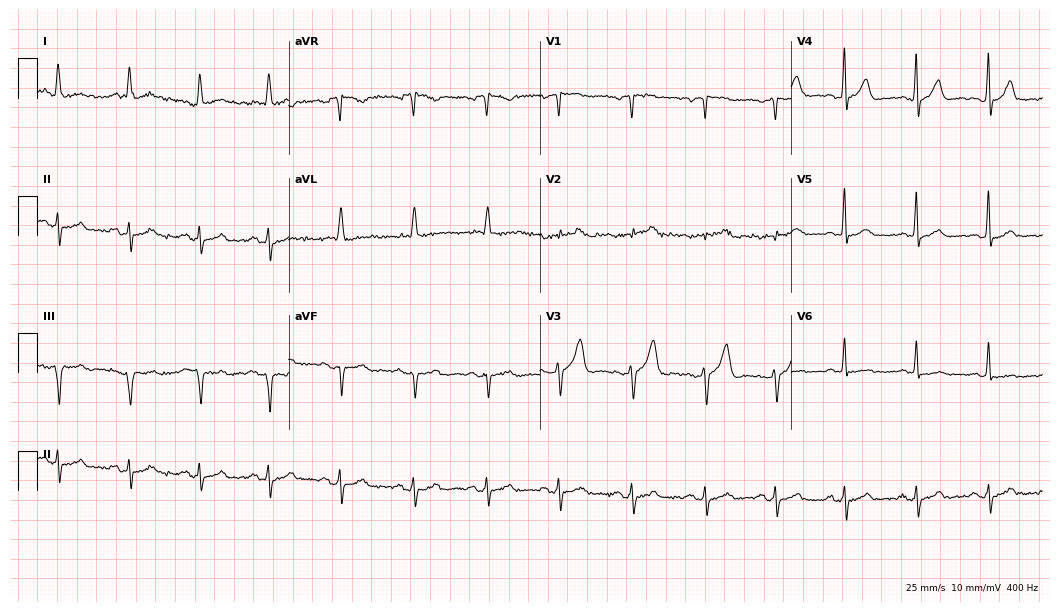
Standard 12-lead ECG recorded from a 71-year-old female patient. None of these six findings is recorded: first-degree AV block, right bundle branch block, left bundle branch block, sinus bradycardia, atrial fibrillation, sinus tachycardia.